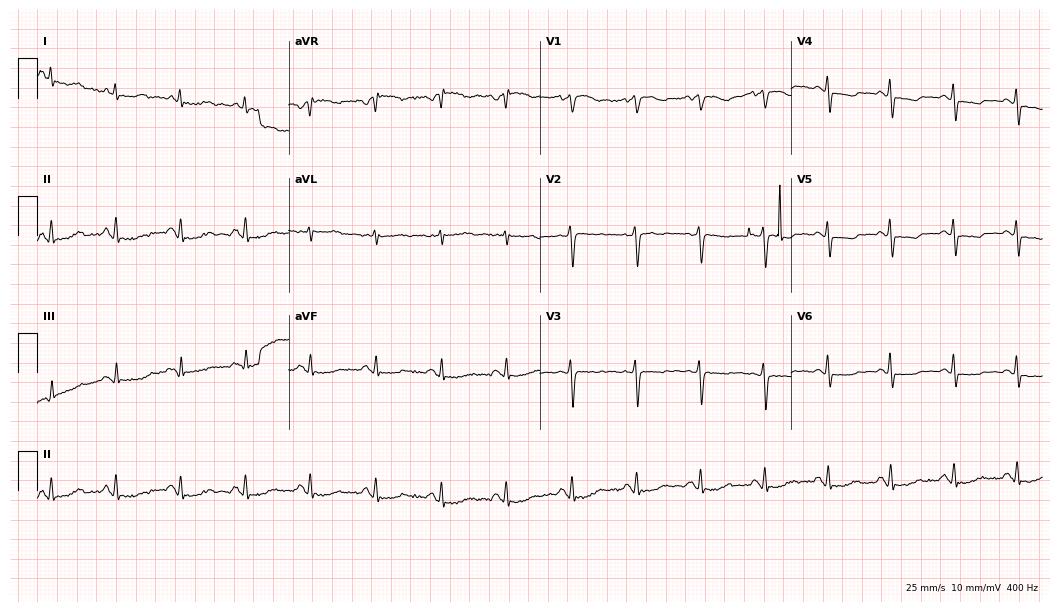
Electrocardiogram, a 57-year-old woman. Overall reading on record: normal ECG.